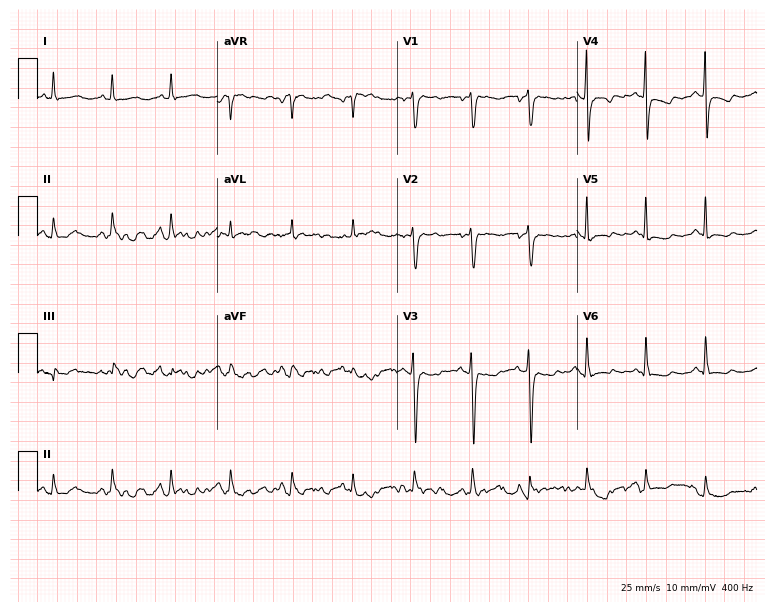
ECG (7.3-second recording at 400 Hz) — a 54-year-old female patient. Screened for six findings — first-degree AV block, right bundle branch block (RBBB), left bundle branch block (LBBB), sinus bradycardia, atrial fibrillation (AF), sinus tachycardia — none is recorded.